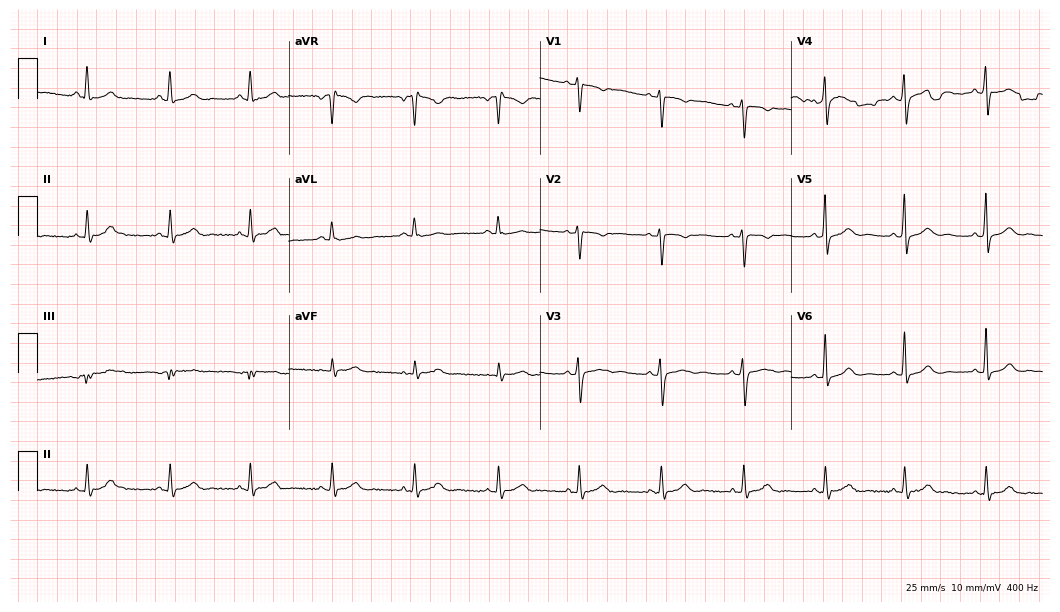
Standard 12-lead ECG recorded from a 36-year-old female (10.2-second recording at 400 Hz). None of these six findings is recorded: first-degree AV block, right bundle branch block, left bundle branch block, sinus bradycardia, atrial fibrillation, sinus tachycardia.